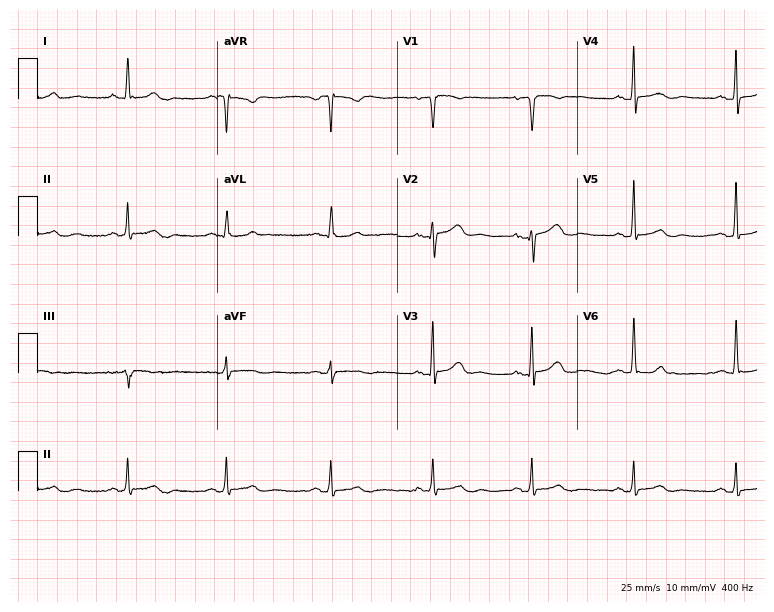
ECG — a female, 68 years old. Screened for six findings — first-degree AV block, right bundle branch block, left bundle branch block, sinus bradycardia, atrial fibrillation, sinus tachycardia — none is recorded.